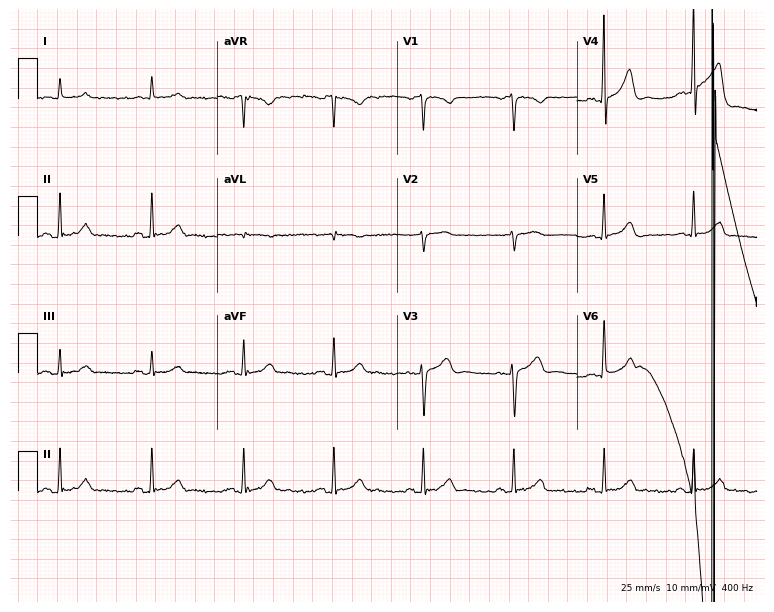
12-lead ECG from a male, 68 years old (7.3-second recording at 400 Hz). Recorded interpretation: within normal limits.